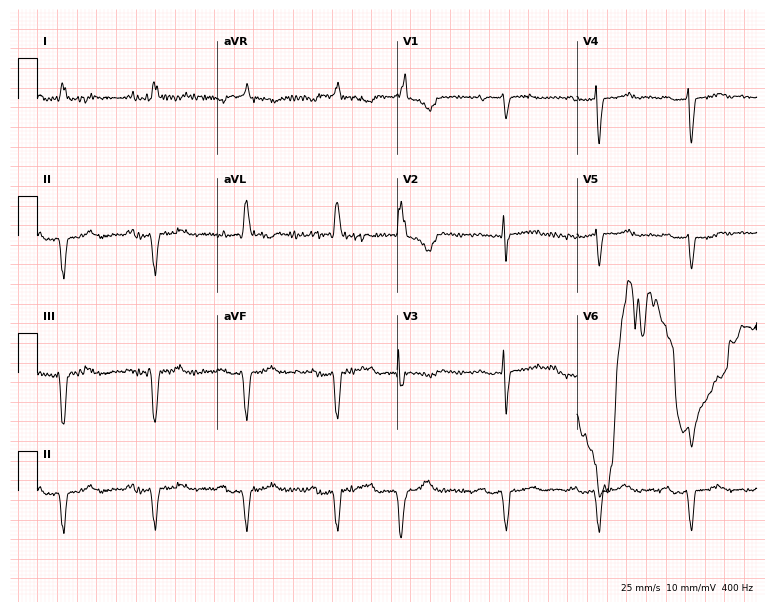
12-lead ECG (7.3-second recording at 400 Hz) from a woman, 82 years old. Screened for six findings — first-degree AV block, right bundle branch block, left bundle branch block, sinus bradycardia, atrial fibrillation, sinus tachycardia — none is recorded.